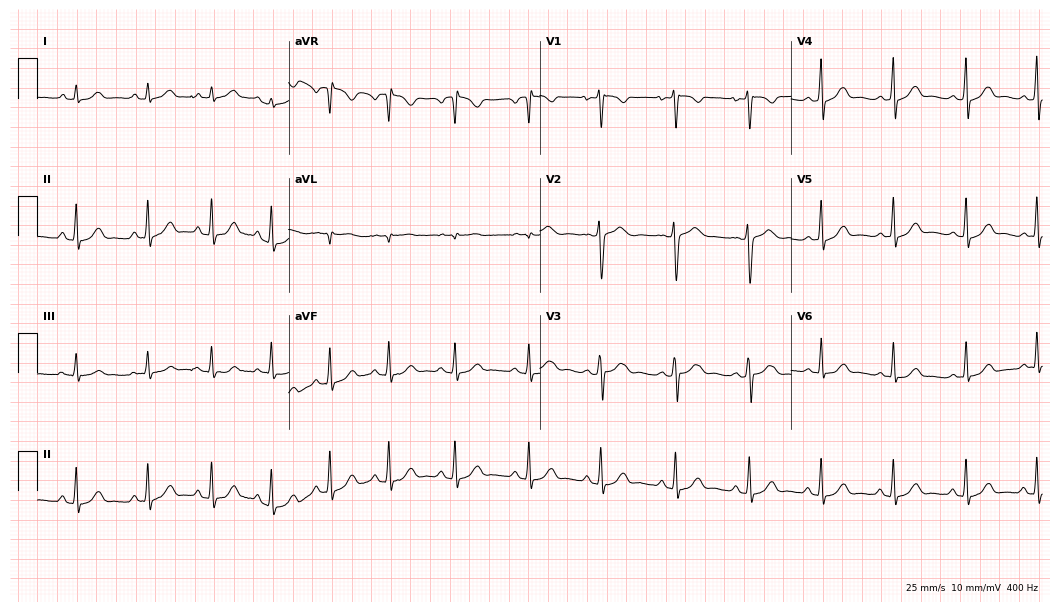
Electrocardiogram, a 17-year-old female. Overall reading on record: normal ECG.